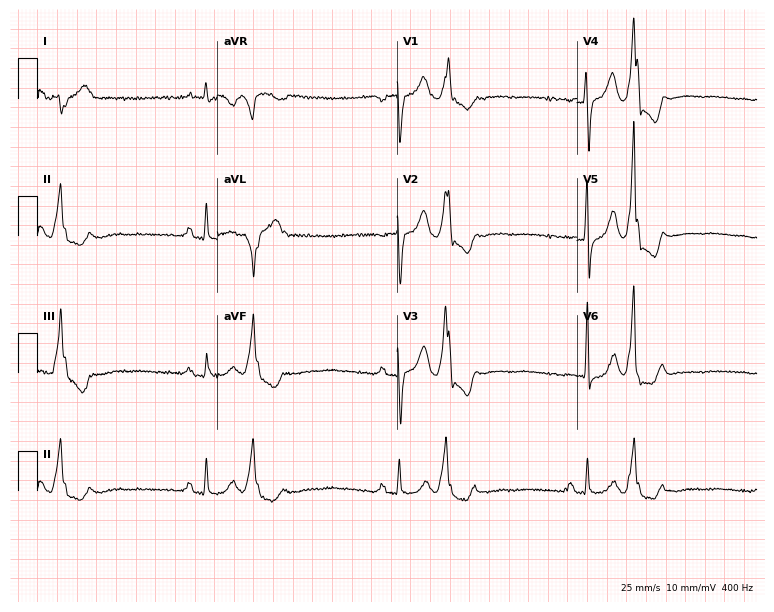
12-lead ECG from a 67-year-old man. Recorded interpretation: within normal limits.